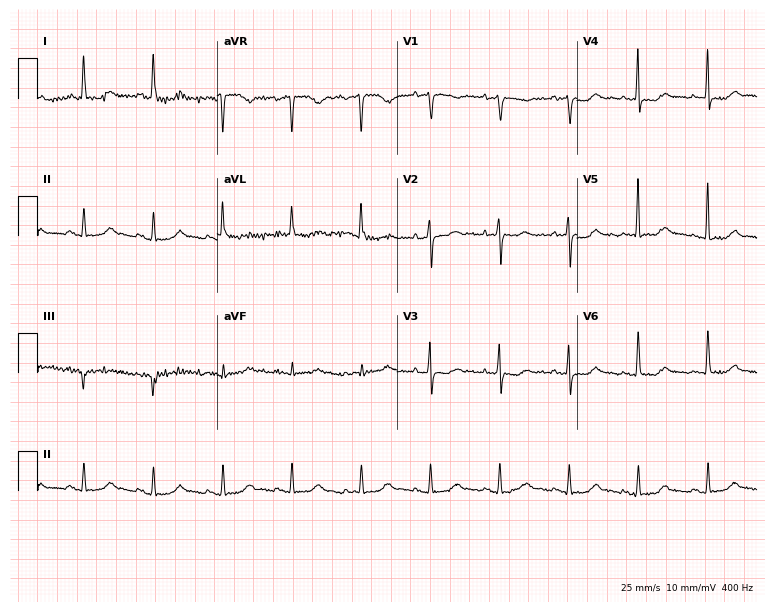
12-lead ECG (7.3-second recording at 400 Hz) from a 68-year-old woman. Labelled as a normal ECG.